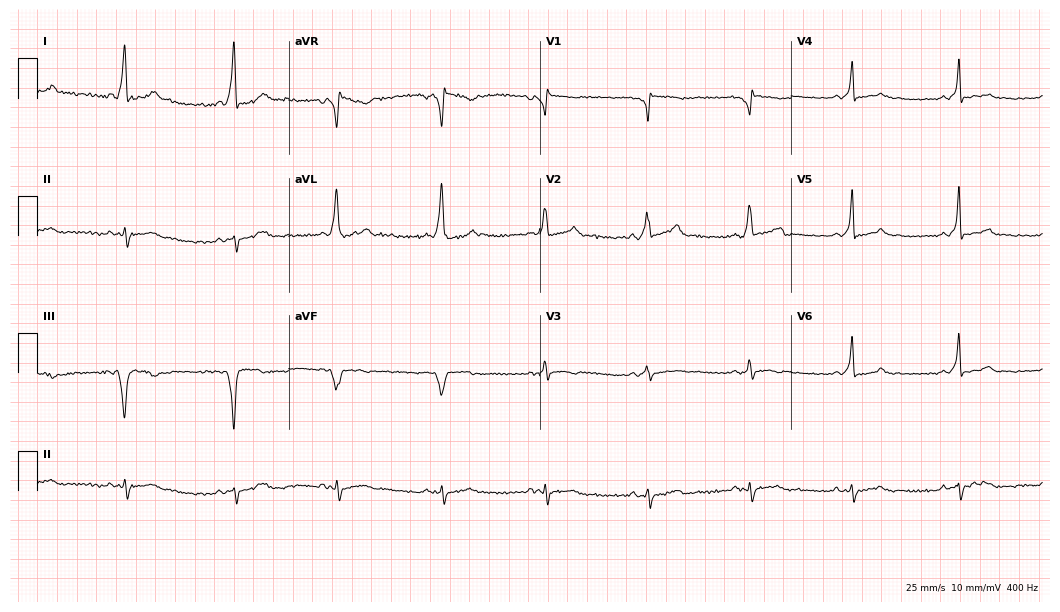
Resting 12-lead electrocardiogram. Patient: a 24-year-old female. None of these six findings is recorded: first-degree AV block, right bundle branch block, left bundle branch block, sinus bradycardia, atrial fibrillation, sinus tachycardia. Only these six findings were labelled.